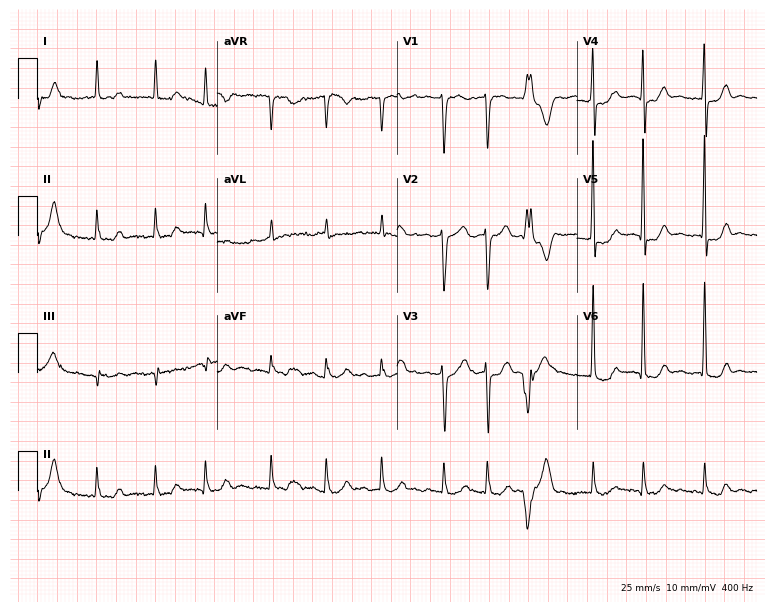
12-lead ECG from a female patient, 80 years old. Findings include atrial fibrillation.